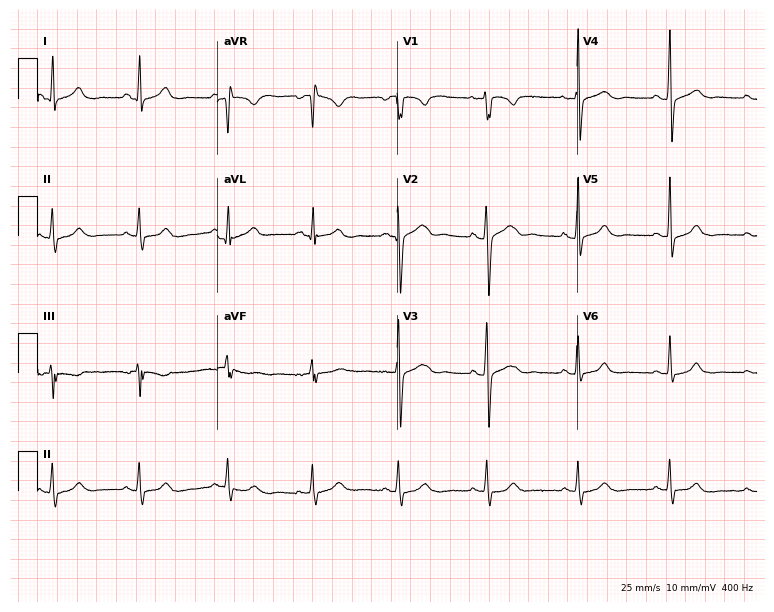
Electrocardiogram (7.3-second recording at 400 Hz), a female, 27 years old. Overall reading on record: normal ECG.